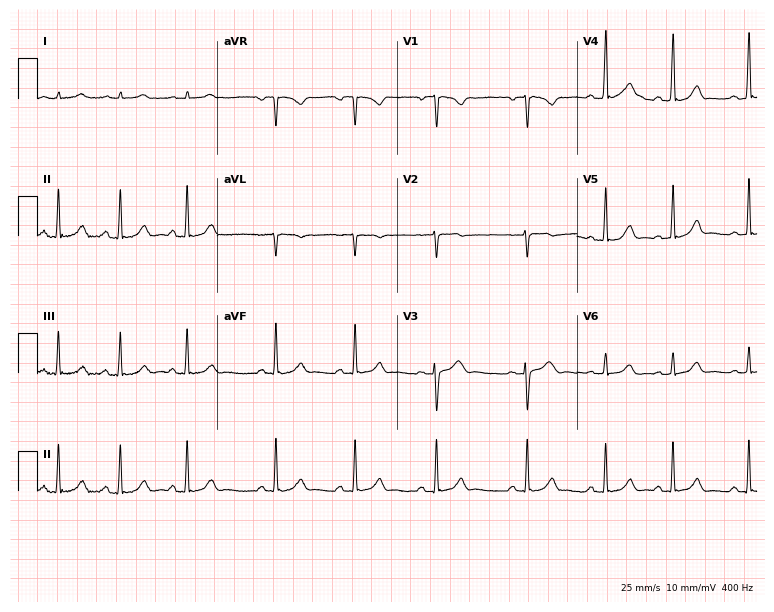
Electrocardiogram (7.3-second recording at 400 Hz), a female, 18 years old. Overall reading on record: normal ECG.